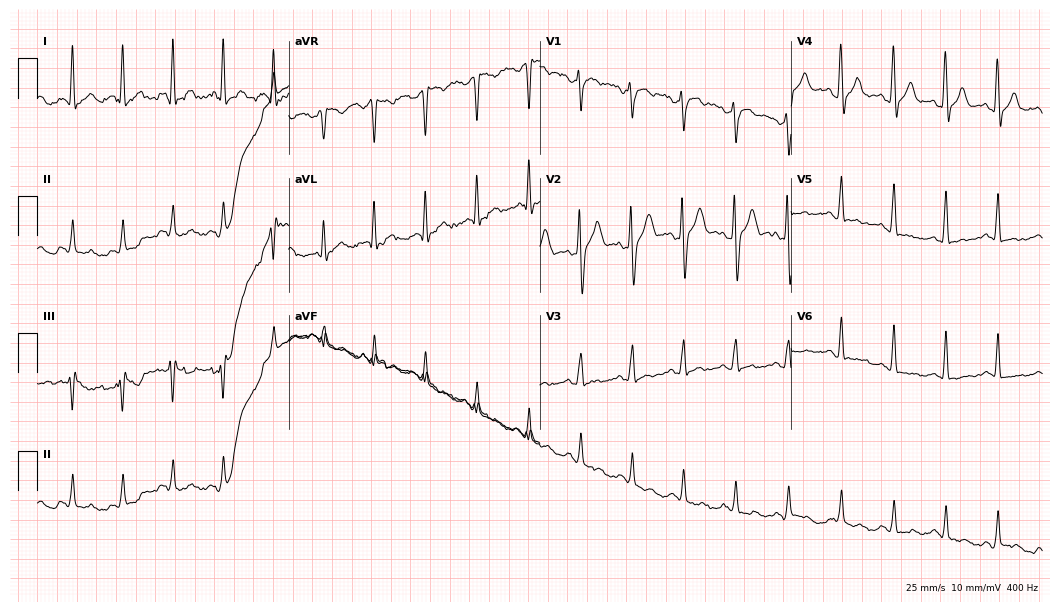
12-lead ECG from a male patient, 46 years old. No first-degree AV block, right bundle branch block, left bundle branch block, sinus bradycardia, atrial fibrillation or sinus tachycardia recorded for this tracing.